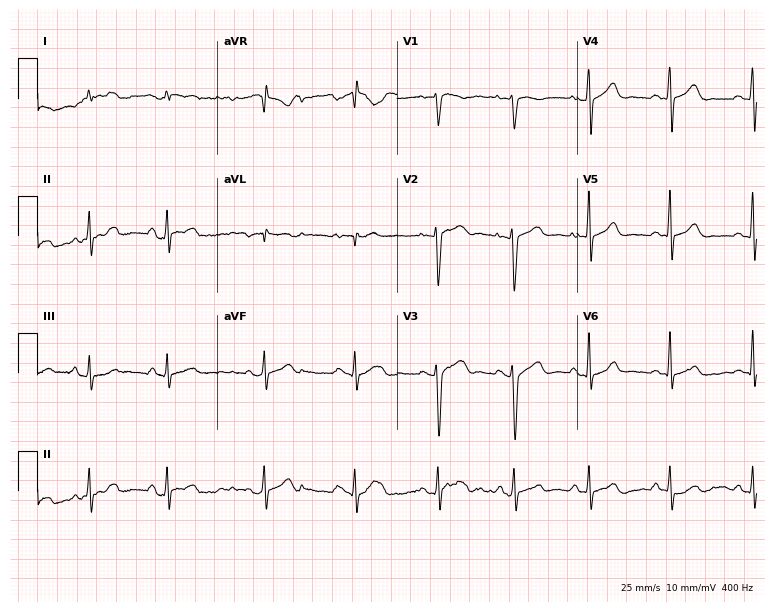
Resting 12-lead electrocardiogram (7.3-second recording at 400 Hz). Patient: a man, 28 years old. None of these six findings is recorded: first-degree AV block, right bundle branch block, left bundle branch block, sinus bradycardia, atrial fibrillation, sinus tachycardia.